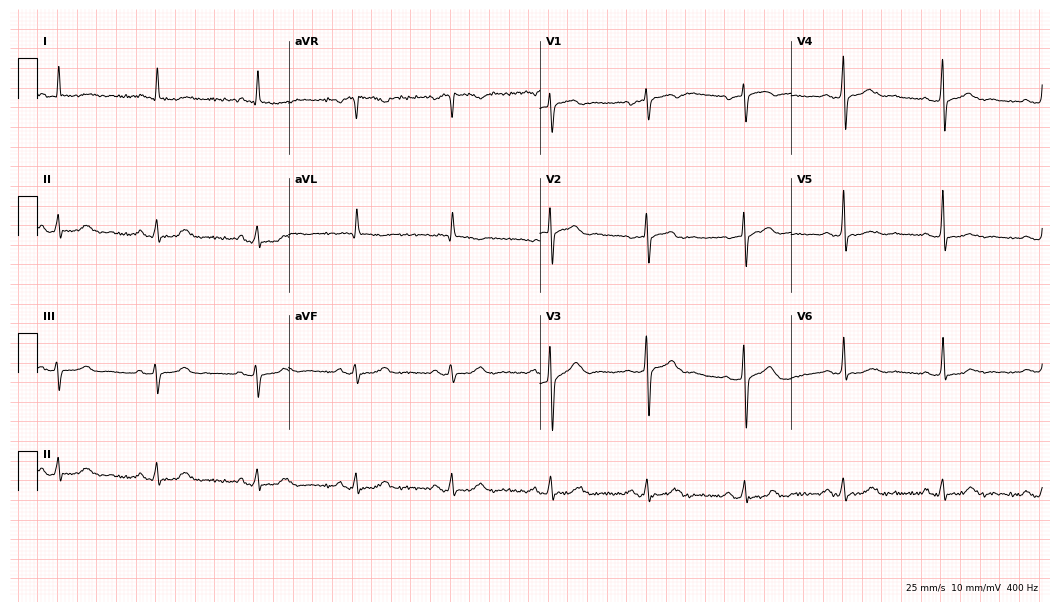
Electrocardiogram, a female, 73 years old. Overall reading on record: normal ECG.